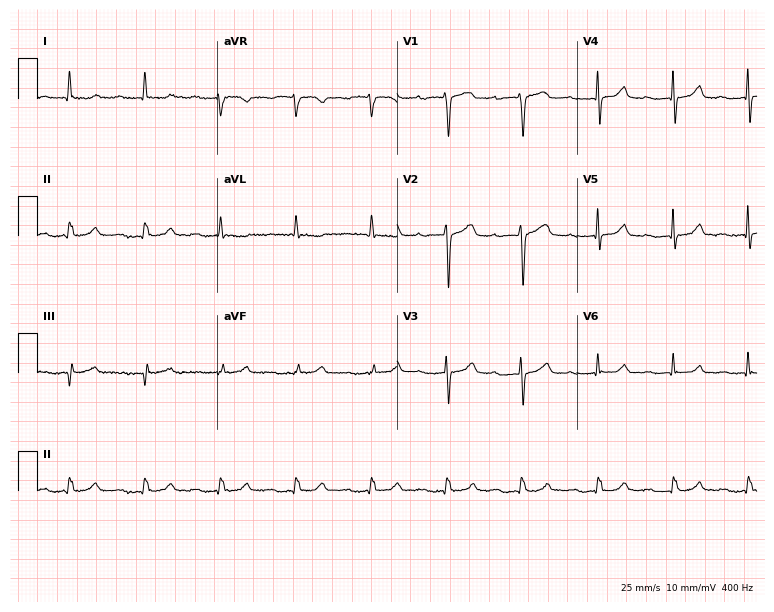
ECG (7.3-second recording at 400 Hz) — an 81-year-old woman. Findings include first-degree AV block.